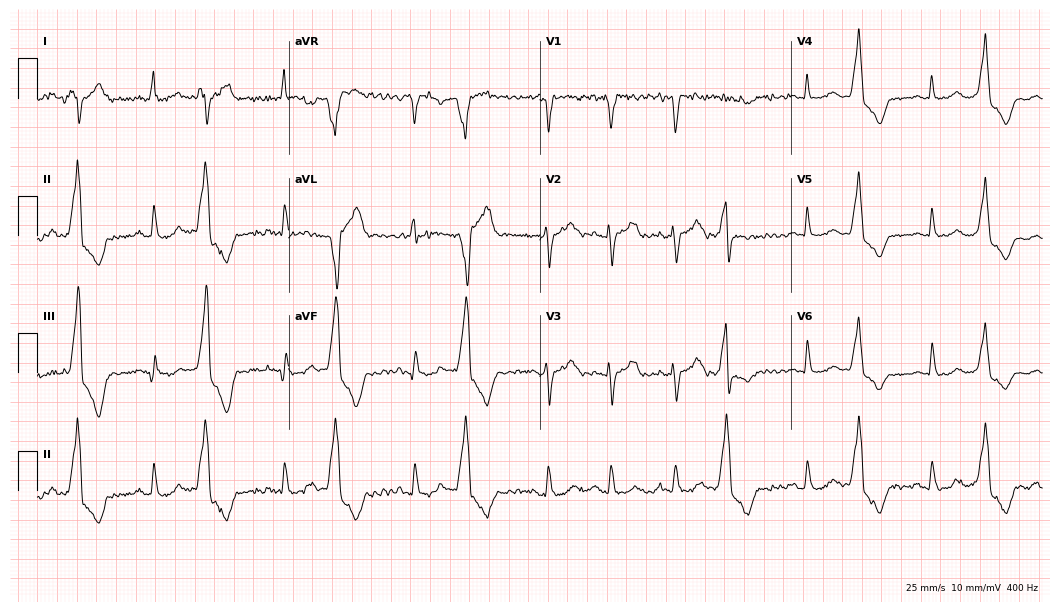
Electrocardiogram, a male patient, 45 years old. Of the six screened findings (first-degree AV block, right bundle branch block (RBBB), left bundle branch block (LBBB), sinus bradycardia, atrial fibrillation (AF), sinus tachycardia), none is recorded. Other findings, if any, are not listed.